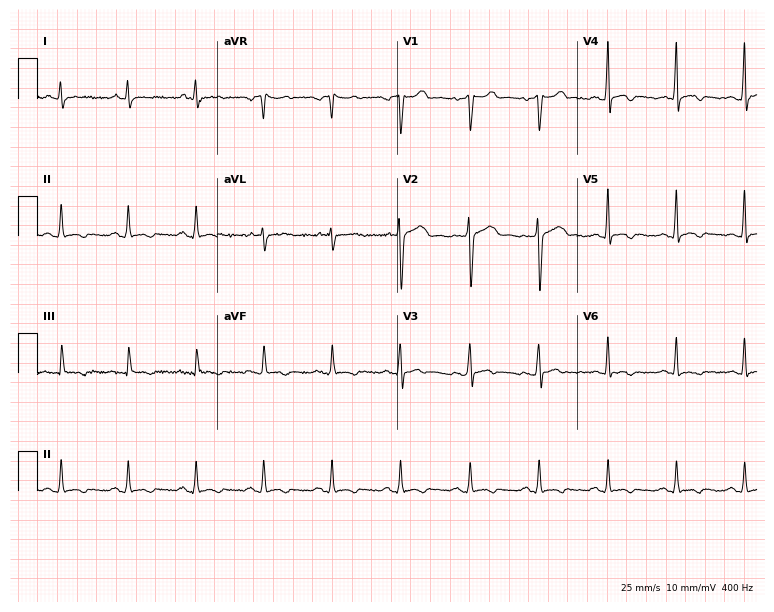
12-lead ECG from a male patient, 43 years old. Screened for six findings — first-degree AV block, right bundle branch block (RBBB), left bundle branch block (LBBB), sinus bradycardia, atrial fibrillation (AF), sinus tachycardia — none is recorded. Findings outside these six are not listed.